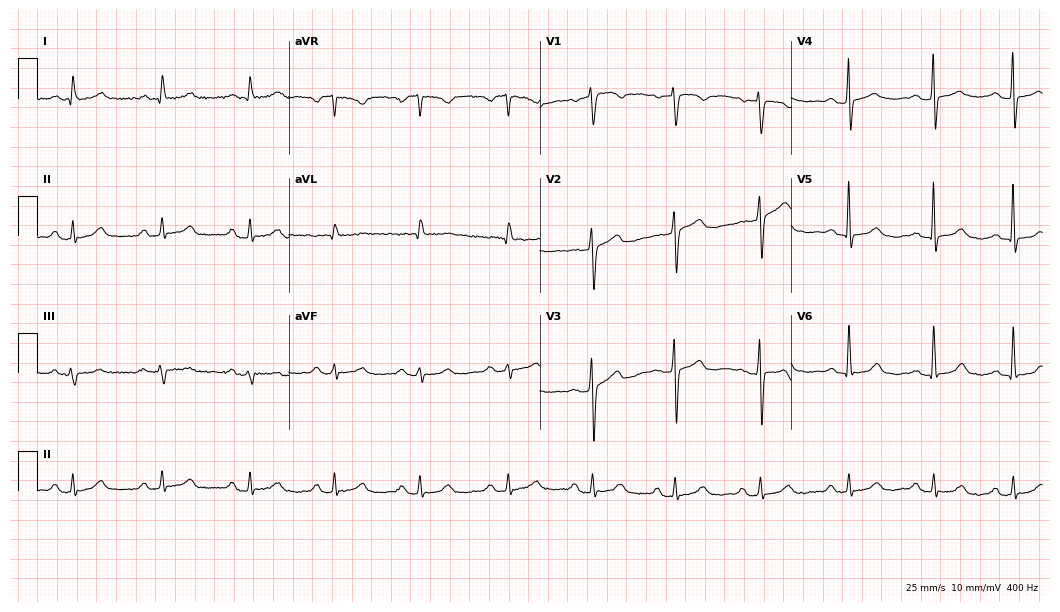
12-lead ECG (10.2-second recording at 400 Hz) from a woman, 75 years old. Labelled as a normal ECG.